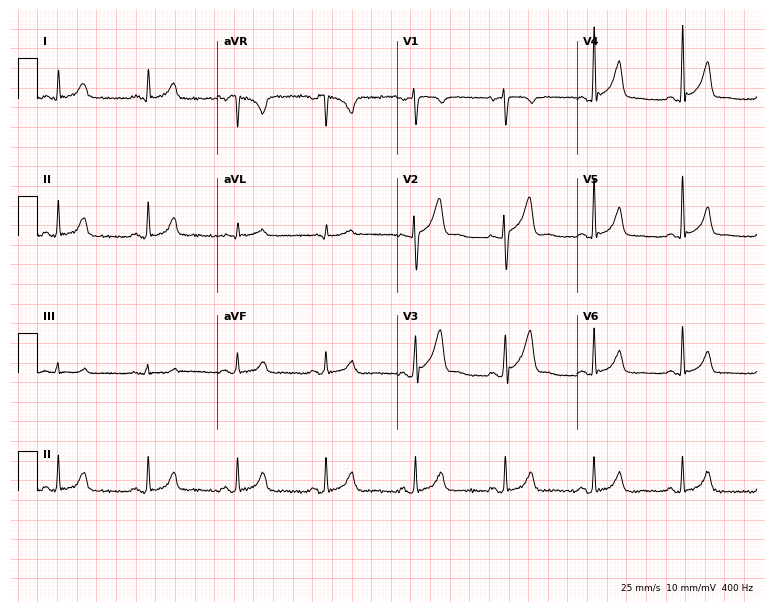
ECG — a male patient, 36 years old. Screened for six findings — first-degree AV block, right bundle branch block, left bundle branch block, sinus bradycardia, atrial fibrillation, sinus tachycardia — none is recorded. Findings outside these six are not listed.